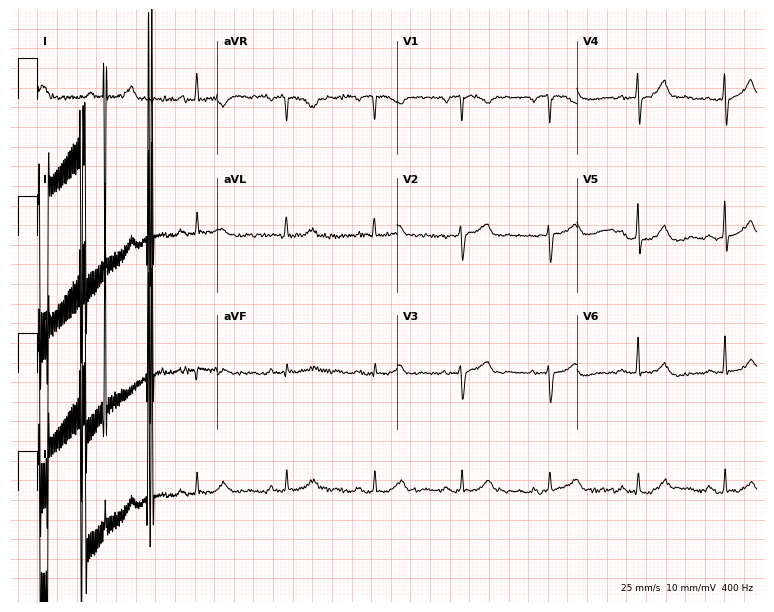
ECG — a male patient, 81 years old. Screened for six findings — first-degree AV block, right bundle branch block, left bundle branch block, sinus bradycardia, atrial fibrillation, sinus tachycardia — none is recorded. Findings outside these six are not listed.